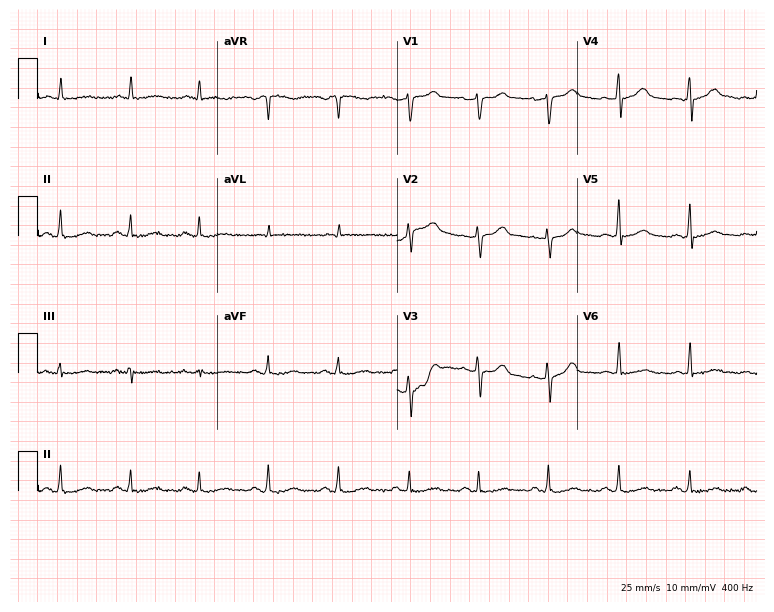
12-lead ECG (7.3-second recording at 400 Hz) from a 62-year-old male. Labelled as a normal ECG.